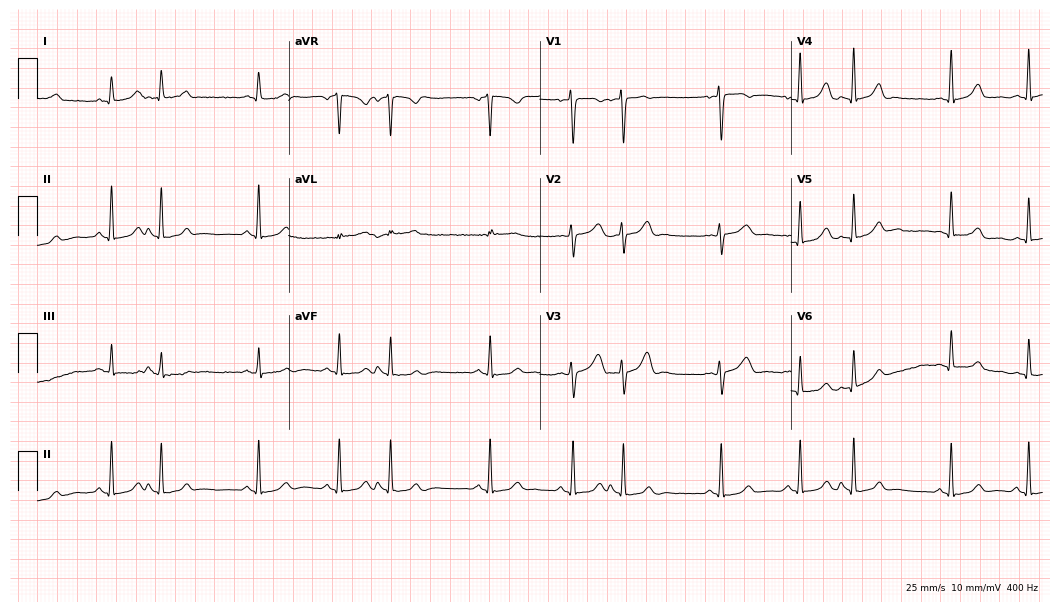
12-lead ECG (10.2-second recording at 400 Hz) from a woman, 27 years old. Screened for six findings — first-degree AV block, right bundle branch block, left bundle branch block, sinus bradycardia, atrial fibrillation, sinus tachycardia — none is recorded. Only these six findings were labelled.